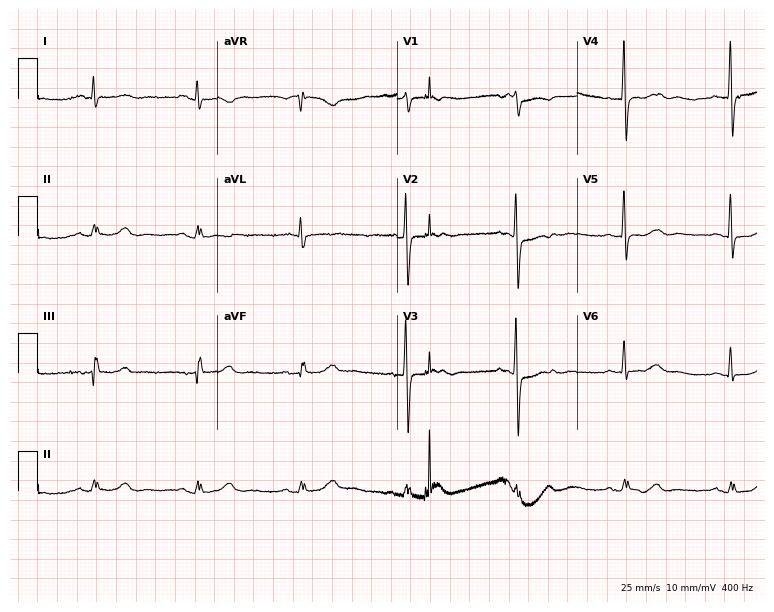
Electrocardiogram, a 67-year-old female. Of the six screened findings (first-degree AV block, right bundle branch block, left bundle branch block, sinus bradycardia, atrial fibrillation, sinus tachycardia), none is recorded.